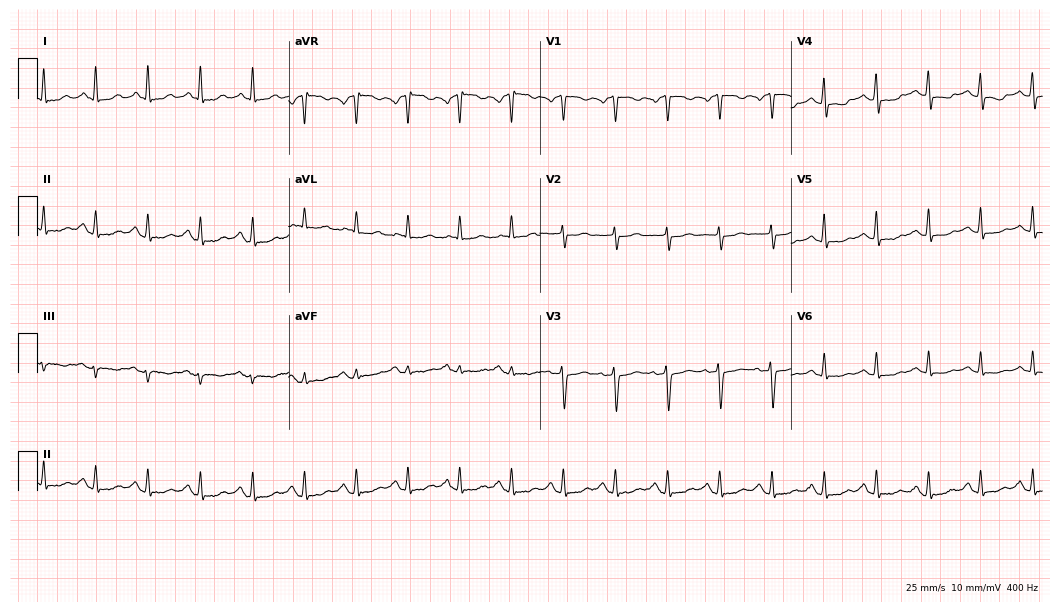
12-lead ECG (10.2-second recording at 400 Hz) from a 48-year-old female patient. Findings include sinus tachycardia (a sinus rate of 100 beats per minute or more).